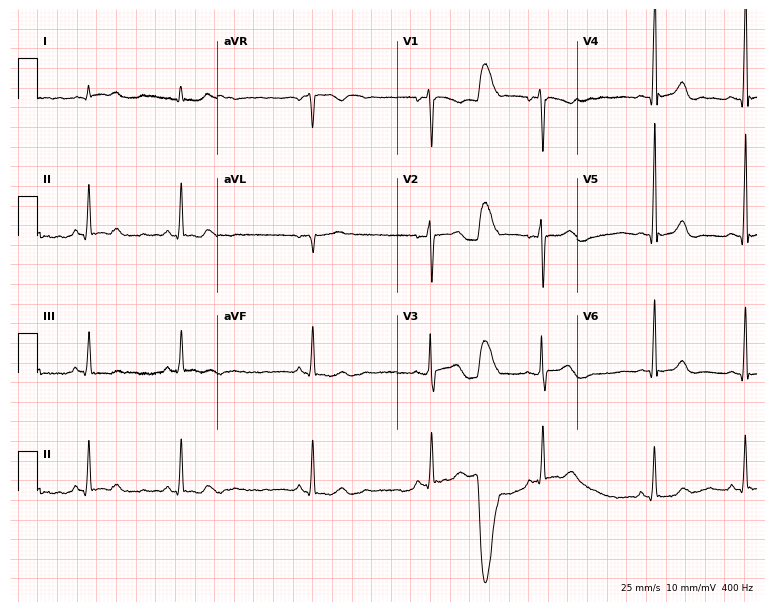
Resting 12-lead electrocardiogram (7.3-second recording at 400 Hz). Patient: a man, 21 years old. Read as a normal ECG.